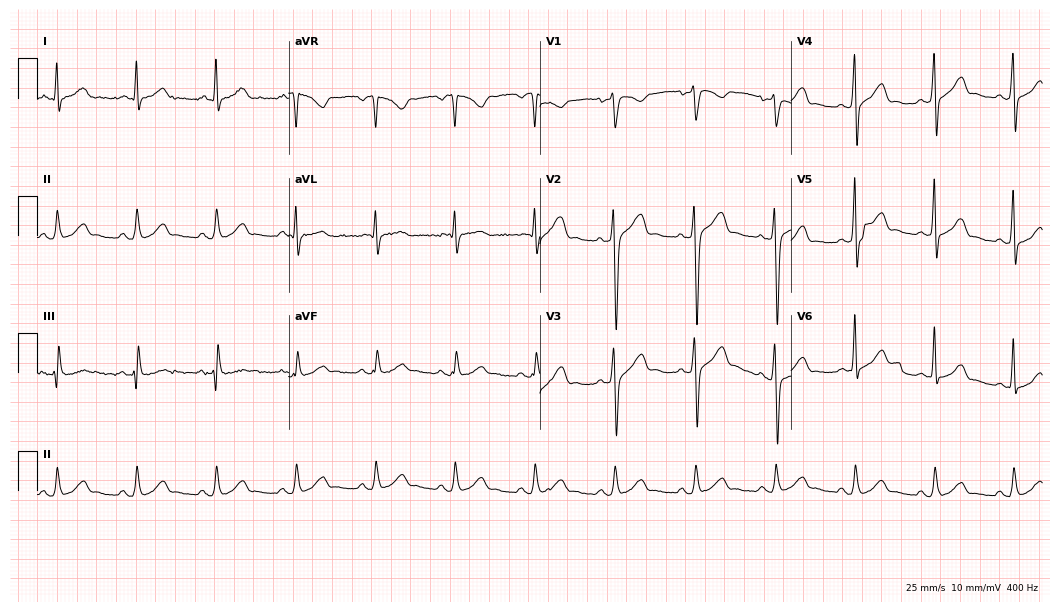
12-lead ECG from a 45-year-old male. No first-degree AV block, right bundle branch block, left bundle branch block, sinus bradycardia, atrial fibrillation or sinus tachycardia recorded for this tracing. Only these six findings were labelled.